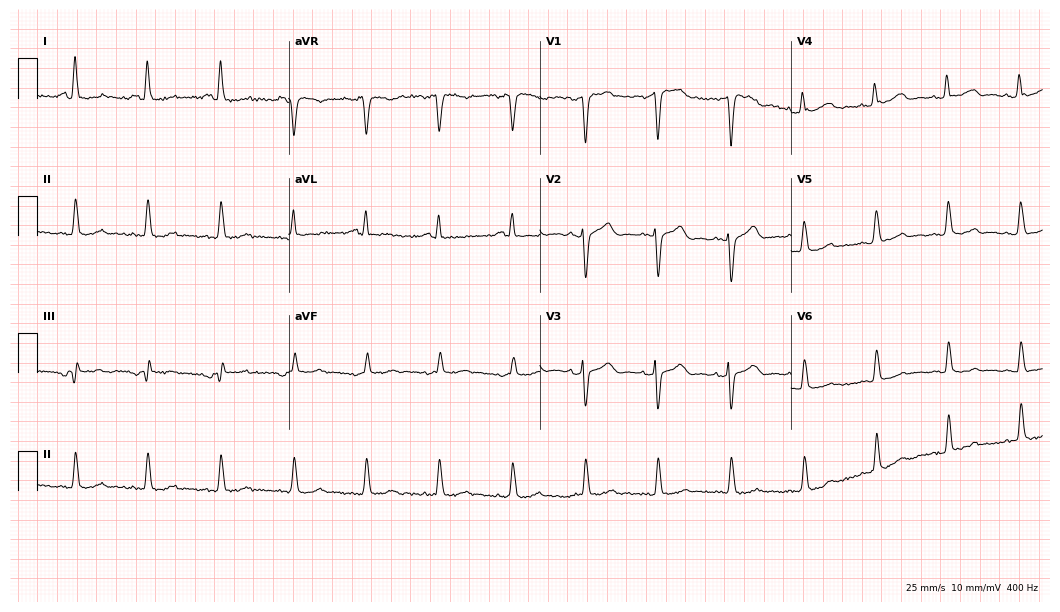
12-lead ECG from a male patient, 47 years old. Screened for six findings — first-degree AV block, right bundle branch block, left bundle branch block, sinus bradycardia, atrial fibrillation, sinus tachycardia — none is recorded.